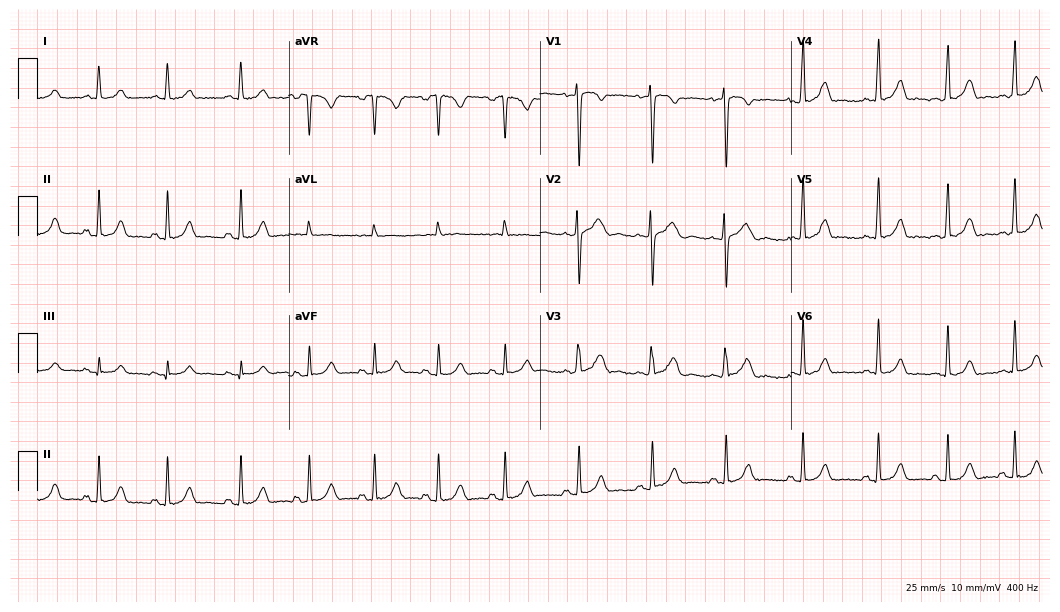
Standard 12-lead ECG recorded from a 20-year-old woman. Read as a normal ECG.